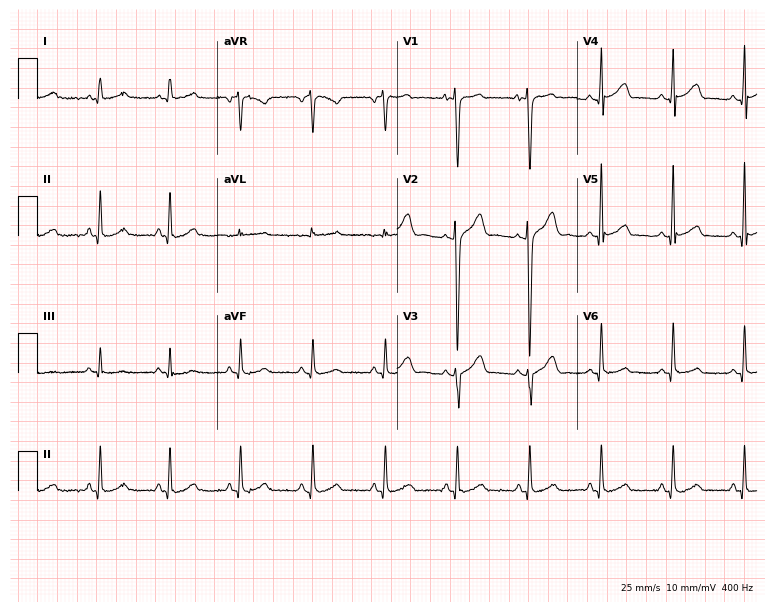
12-lead ECG (7.3-second recording at 400 Hz) from a 23-year-old male. Labelled as a normal ECG.